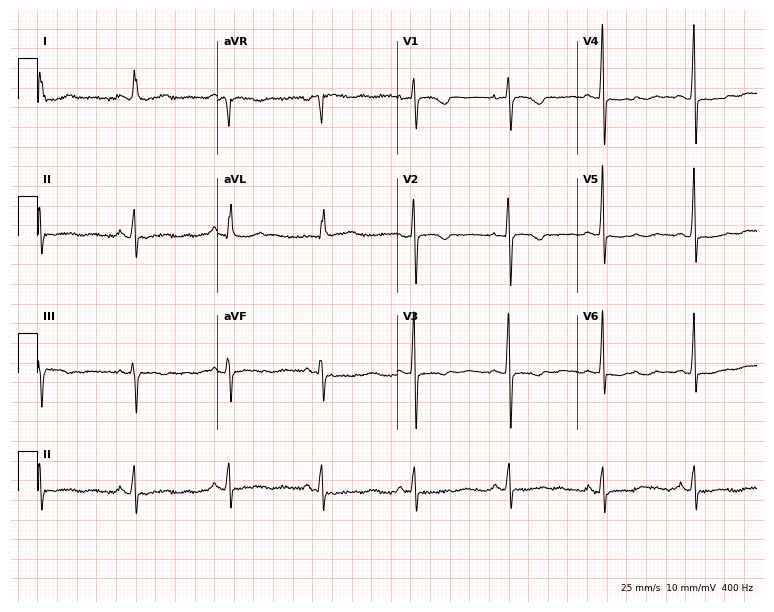
Electrocardiogram, a female patient, 56 years old. Of the six screened findings (first-degree AV block, right bundle branch block, left bundle branch block, sinus bradycardia, atrial fibrillation, sinus tachycardia), none is recorded. Findings outside these six are not listed.